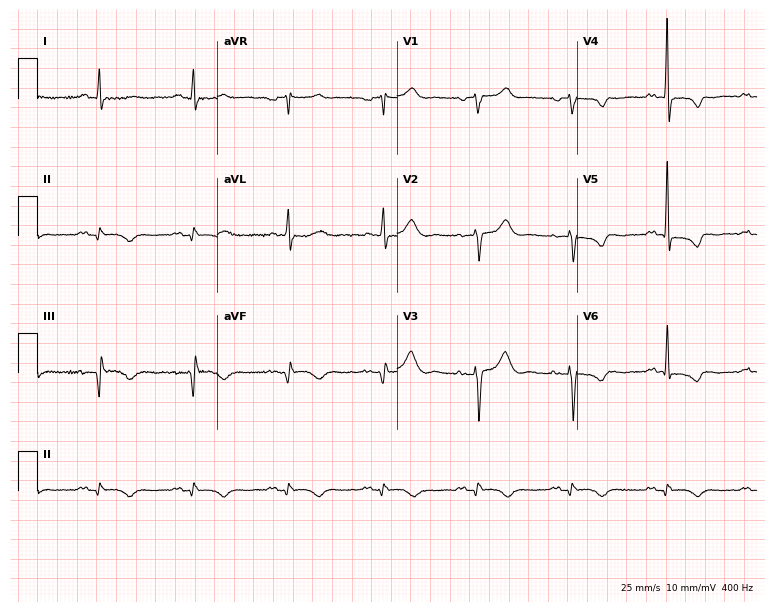
Standard 12-lead ECG recorded from a 61-year-old male (7.3-second recording at 400 Hz). None of these six findings is recorded: first-degree AV block, right bundle branch block, left bundle branch block, sinus bradycardia, atrial fibrillation, sinus tachycardia.